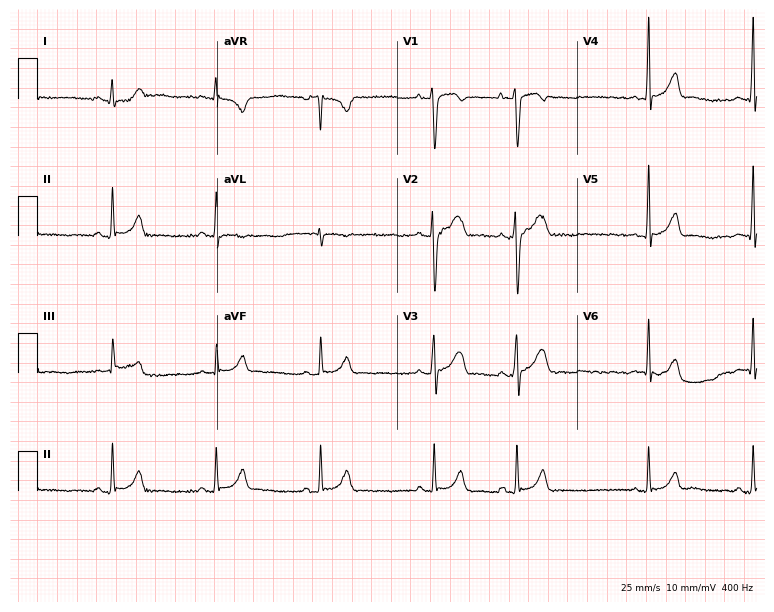
12-lead ECG from a man, 18 years old (7.3-second recording at 400 Hz). No first-degree AV block, right bundle branch block, left bundle branch block, sinus bradycardia, atrial fibrillation or sinus tachycardia recorded for this tracing.